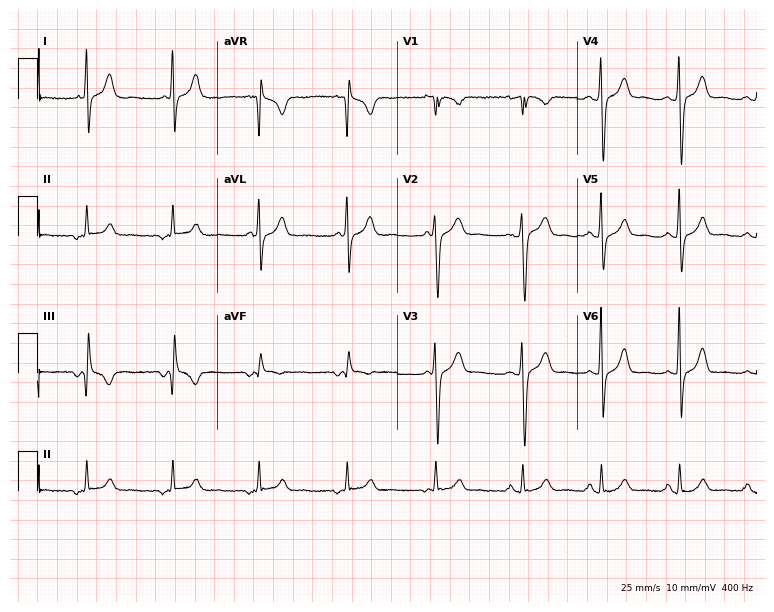
Standard 12-lead ECG recorded from a 30-year-old female patient. None of these six findings is recorded: first-degree AV block, right bundle branch block, left bundle branch block, sinus bradycardia, atrial fibrillation, sinus tachycardia. Only these six findings were labelled.